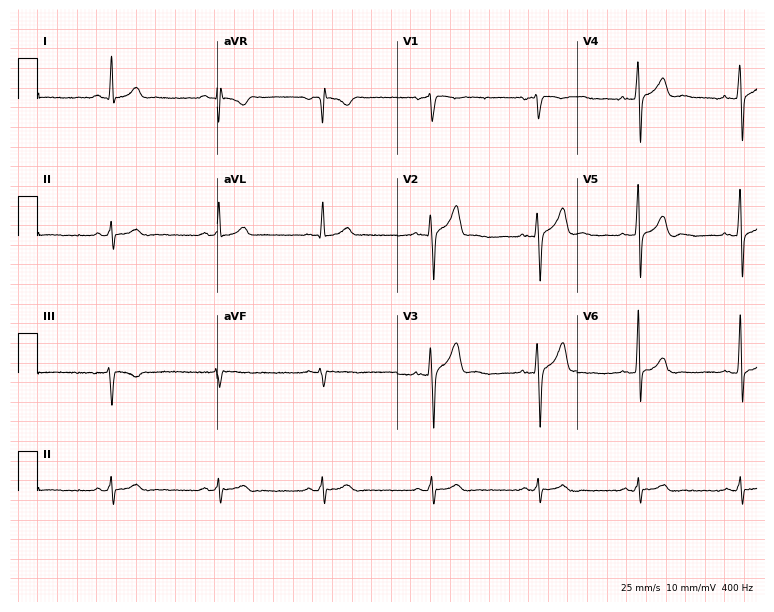
12-lead ECG from a man, 47 years old. No first-degree AV block, right bundle branch block, left bundle branch block, sinus bradycardia, atrial fibrillation or sinus tachycardia recorded for this tracing. Findings outside these six are not listed.